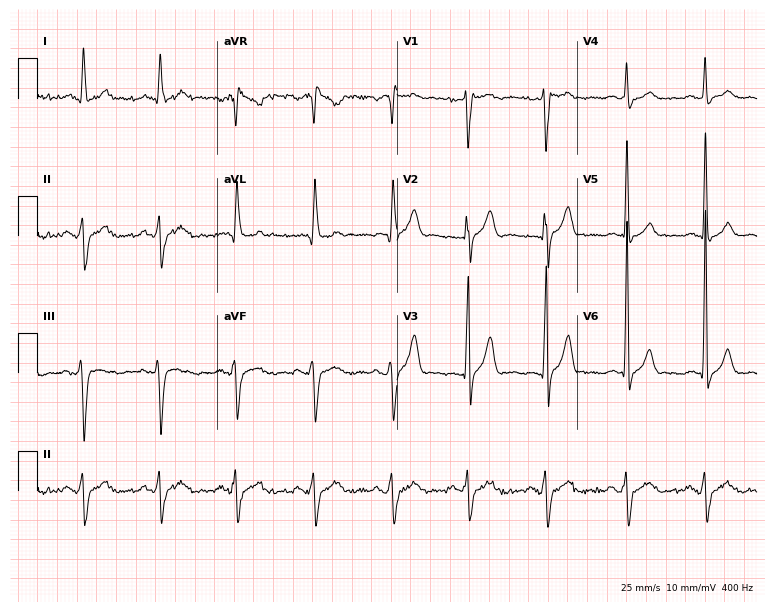
Electrocardiogram (7.3-second recording at 400 Hz), a 55-year-old male patient. Of the six screened findings (first-degree AV block, right bundle branch block, left bundle branch block, sinus bradycardia, atrial fibrillation, sinus tachycardia), none is recorded.